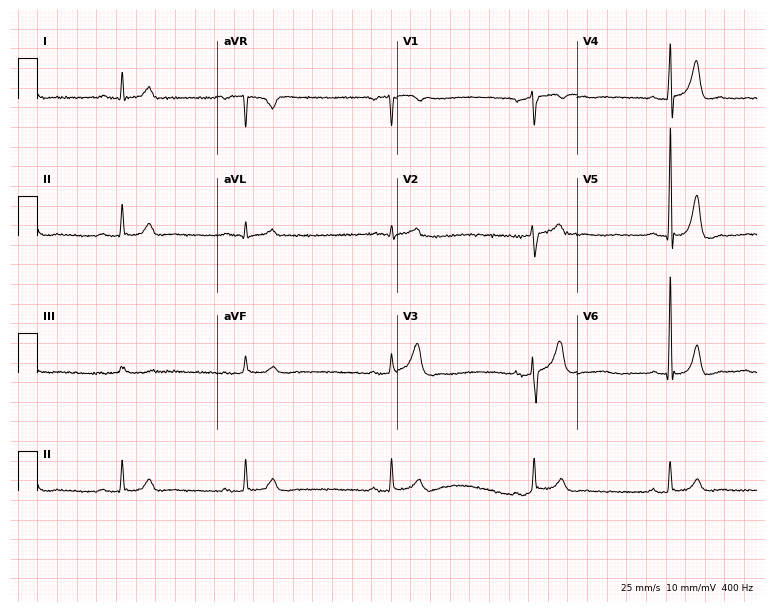
12-lead ECG from a male, 53 years old (7.3-second recording at 400 Hz). Shows sinus bradycardia (a sinus rate of 50 beats per minute or less).